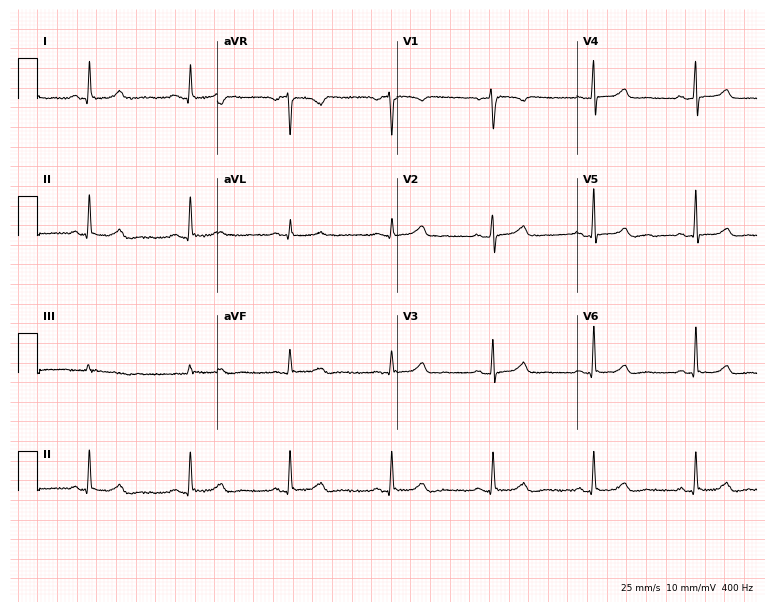
Electrocardiogram, a 54-year-old female. Of the six screened findings (first-degree AV block, right bundle branch block, left bundle branch block, sinus bradycardia, atrial fibrillation, sinus tachycardia), none is recorded.